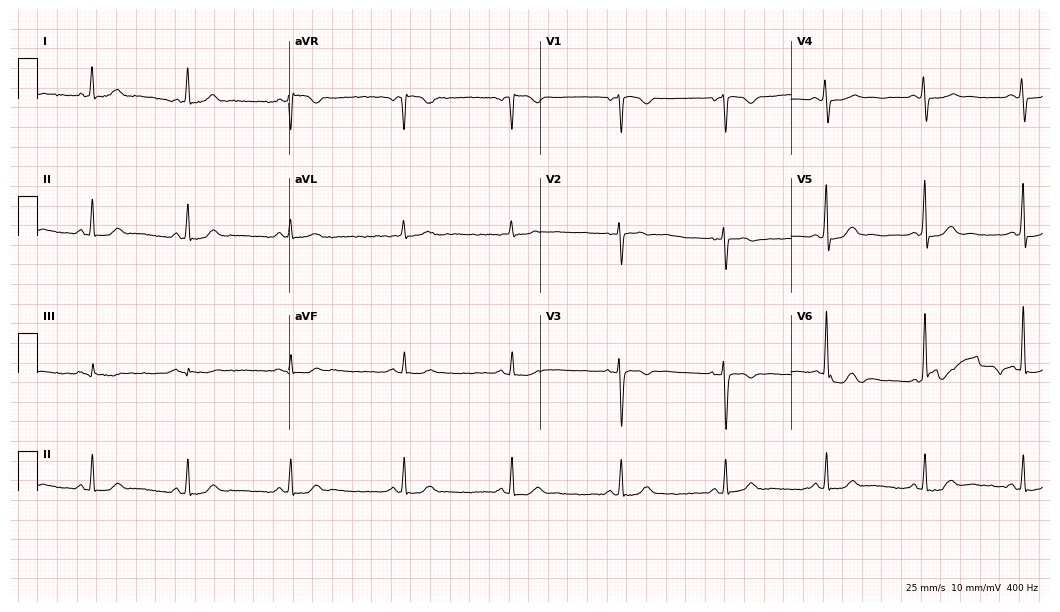
12-lead ECG from a female patient, 49 years old. Recorded interpretation: within normal limits.